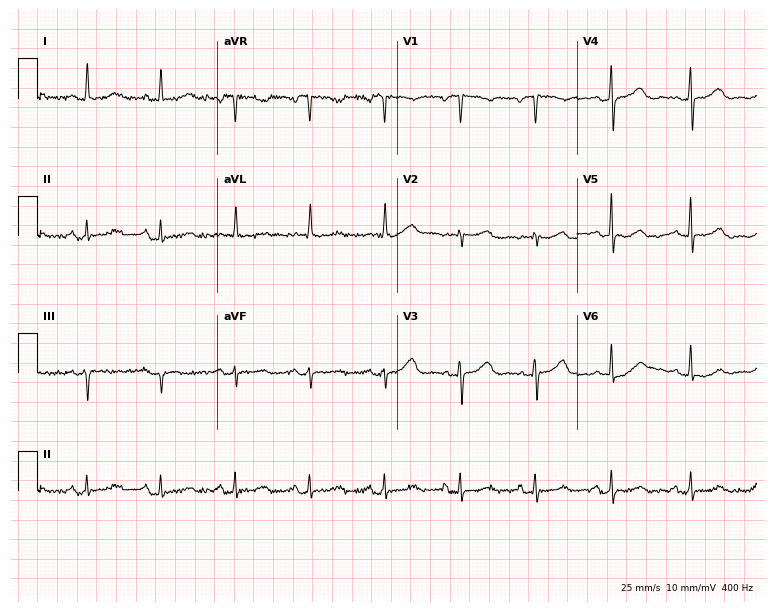
12-lead ECG from a 55-year-old female (7.3-second recording at 400 Hz). Recorded interpretation: within normal limits.